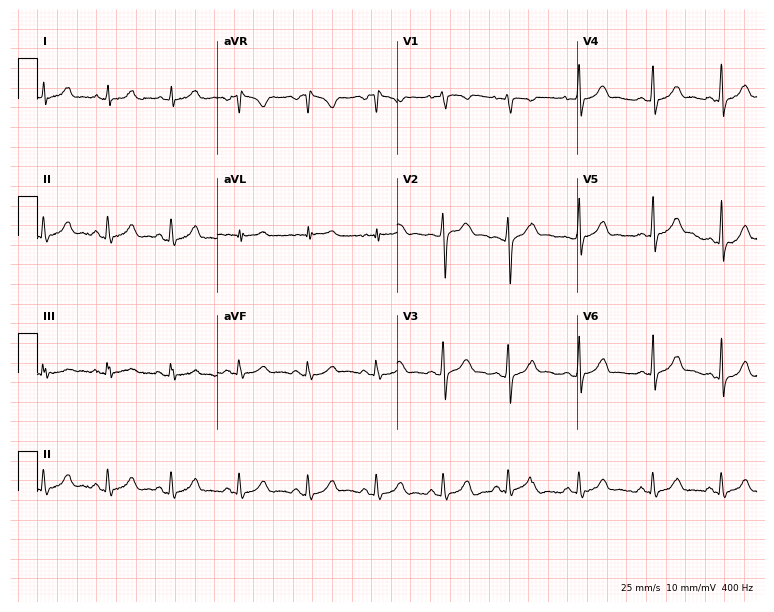
Electrocardiogram (7.3-second recording at 400 Hz), a 25-year-old female patient. Overall reading on record: normal ECG.